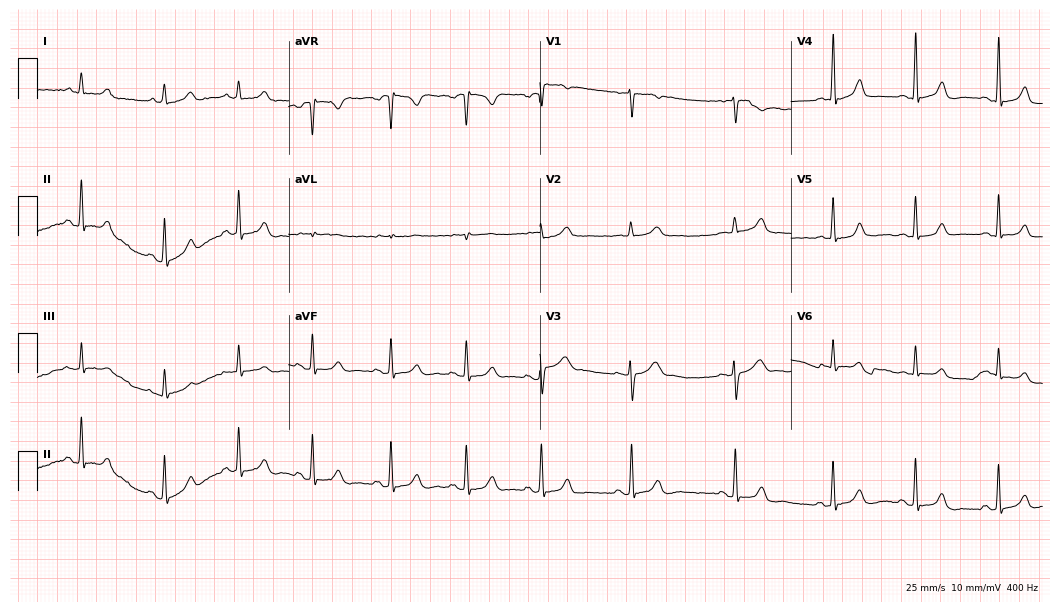
Electrocardiogram (10.2-second recording at 400 Hz), a female patient, 31 years old. Overall reading on record: normal ECG.